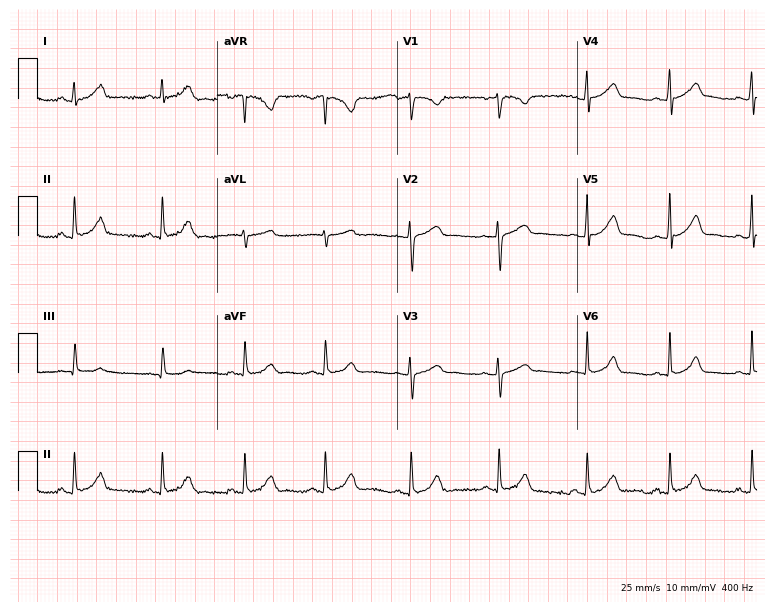
Electrocardiogram, a 22-year-old woman. Overall reading on record: normal ECG.